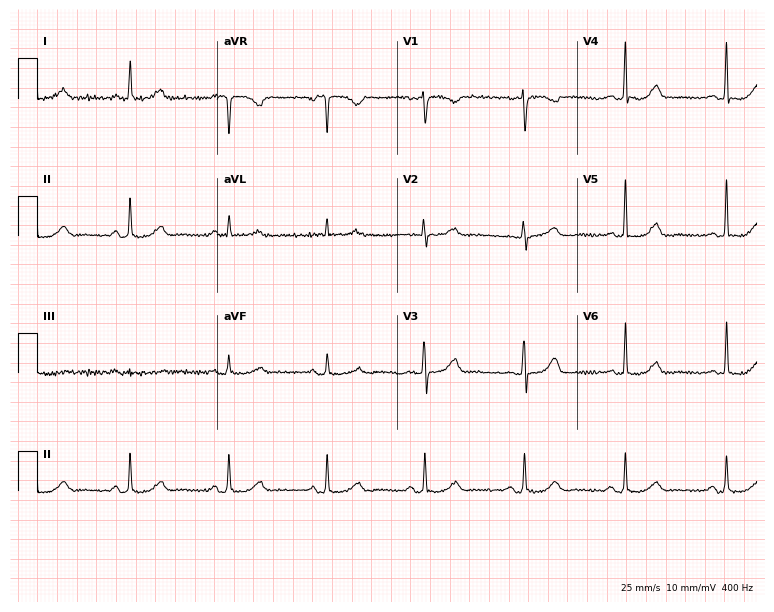
Standard 12-lead ECG recorded from a woman, 63 years old. Read as a normal ECG.